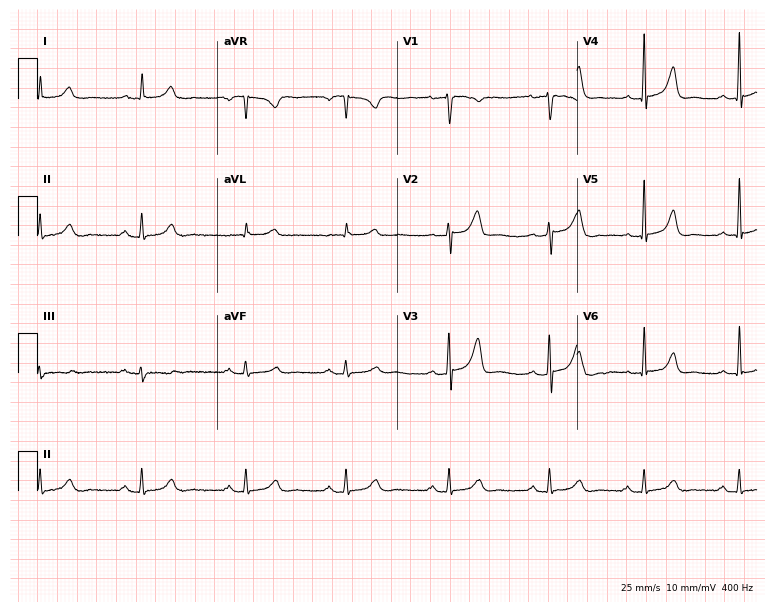
12-lead ECG (7.3-second recording at 400 Hz) from a 51-year-old woman. Labelled as a normal ECG.